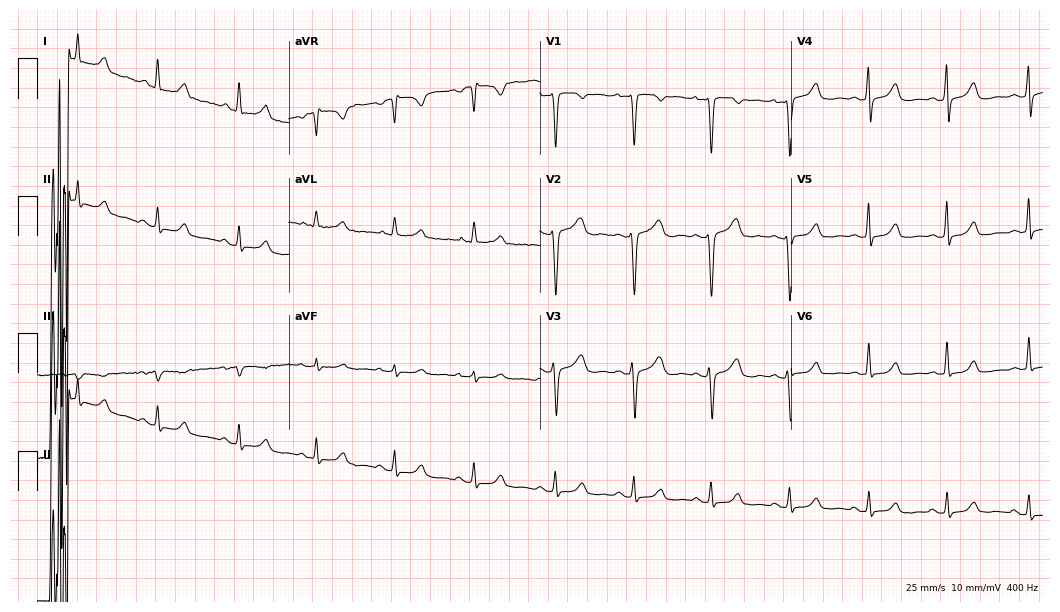
Standard 12-lead ECG recorded from a 34-year-old woman (10.2-second recording at 400 Hz). None of these six findings is recorded: first-degree AV block, right bundle branch block, left bundle branch block, sinus bradycardia, atrial fibrillation, sinus tachycardia. Findings outside these six are not listed.